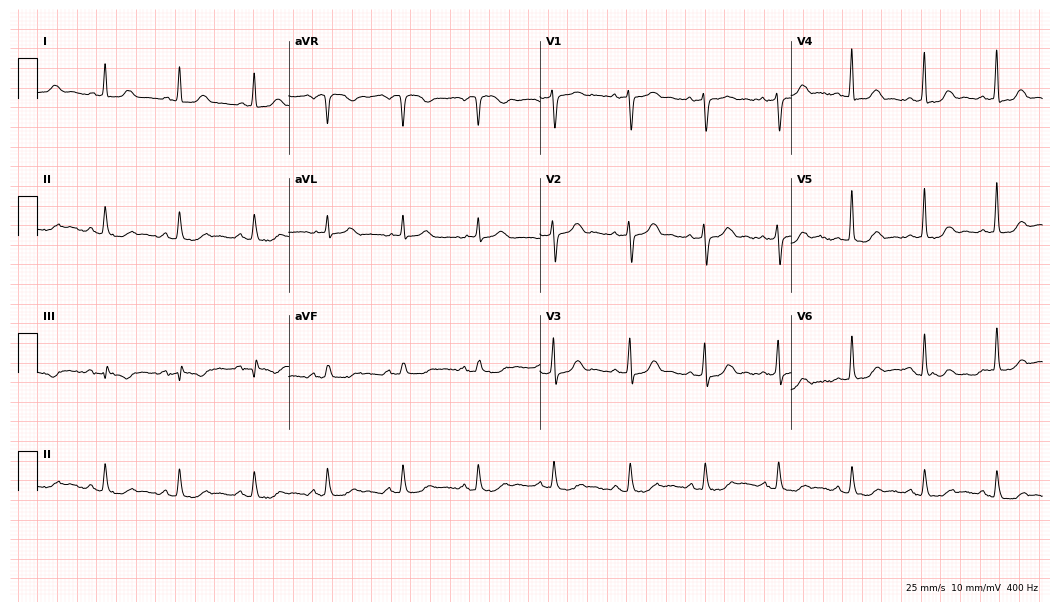
Standard 12-lead ECG recorded from a female patient, 67 years old. None of these six findings is recorded: first-degree AV block, right bundle branch block, left bundle branch block, sinus bradycardia, atrial fibrillation, sinus tachycardia. Findings outside these six are not listed.